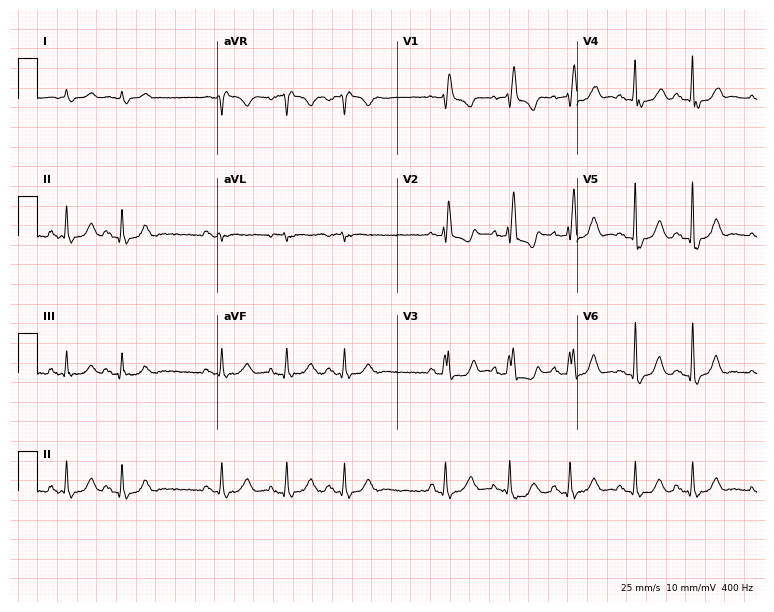
12-lead ECG from a 79-year-old male (7.3-second recording at 400 Hz). No first-degree AV block, right bundle branch block, left bundle branch block, sinus bradycardia, atrial fibrillation or sinus tachycardia recorded for this tracing. Other findings, if any, are not listed.